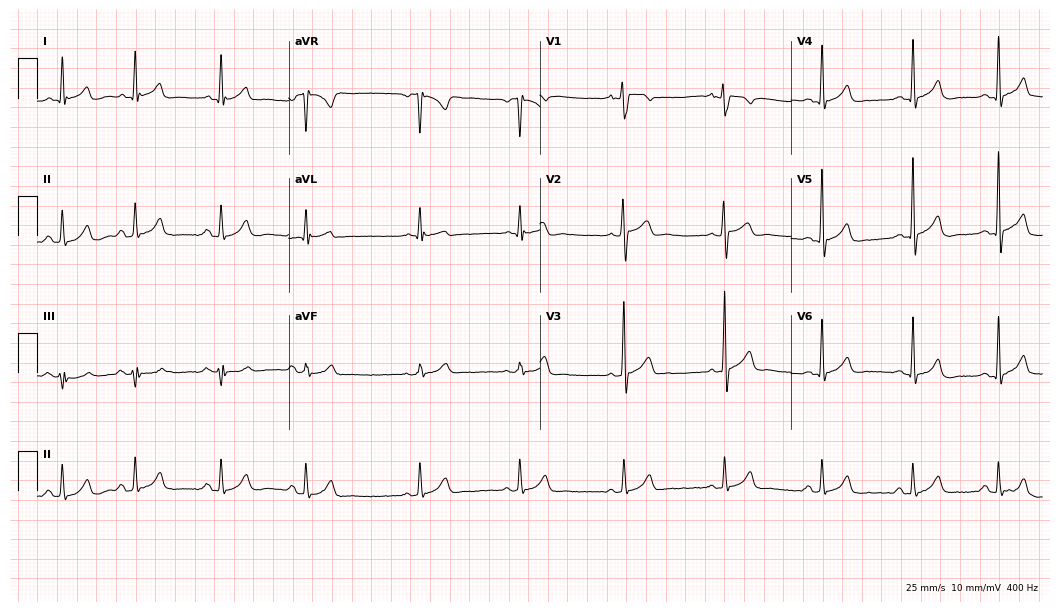
Standard 12-lead ECG recorded from a 22-year-old man. Read as a normal ECG.